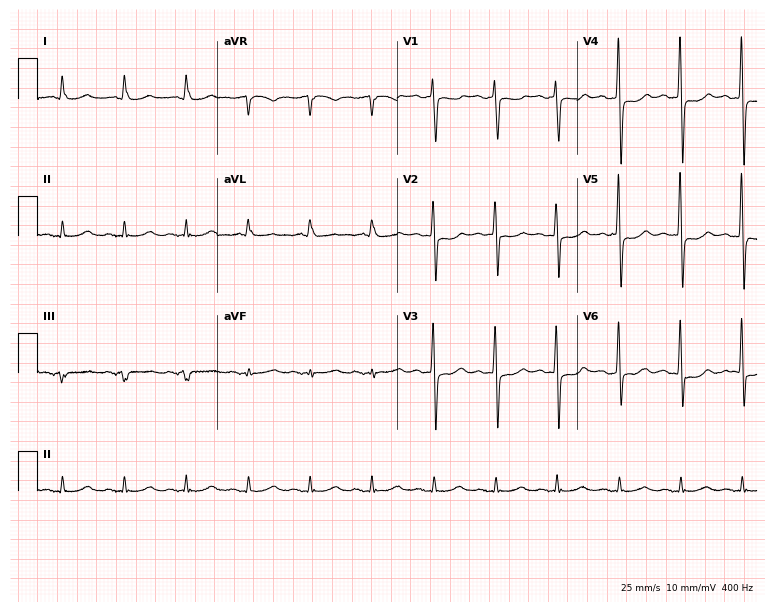
Resting 12-lead electrocardiogram (7.3-second recording at 400 Hz). Patient: a female, 86 years old. None of these six findings is recorded: first-degree AV block, right bundle branch block (RBBB), left bundle branch block (LBBB), sinus bradycardia, atrial fibrillation (AF), sinus tachycardia. Other findings, if any, are not listed.